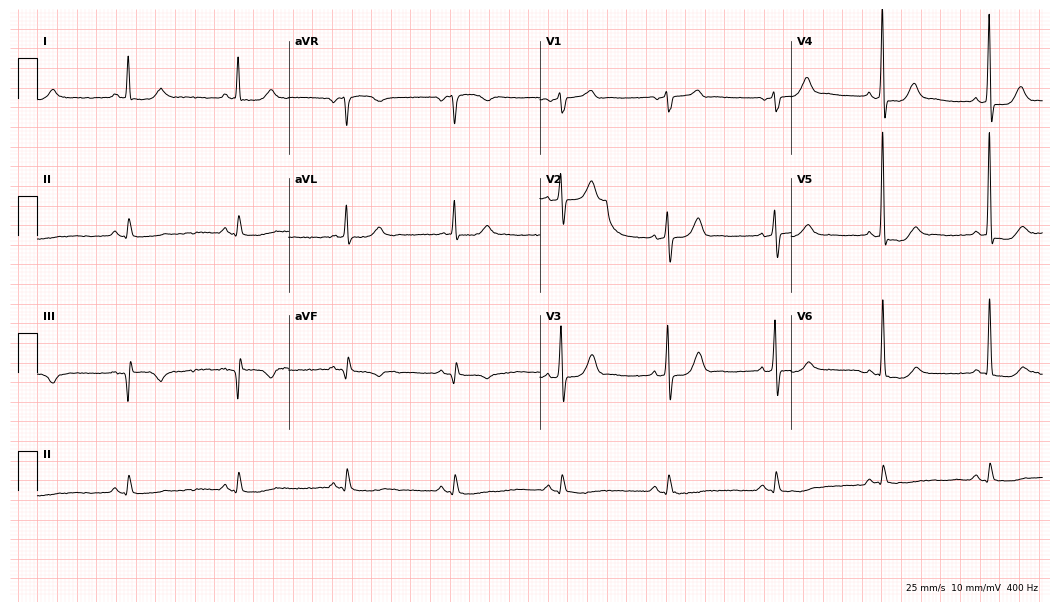
Standard 12-lead ECG recorded from an 80-year-old male patient (10.2-second recording at 400 Hz). None of these six findings is recorded: first-degree AV block, right bundle branch block, left bundle branch block, sinus bradycardia, atrial fibrillation, sinus tachycardia.